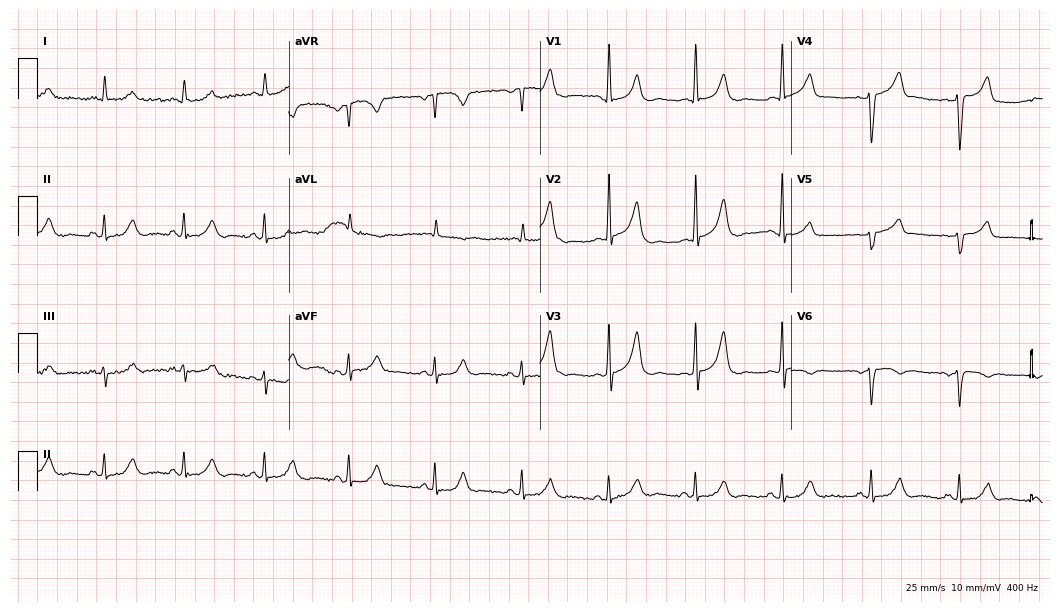
Electrocardiogram (10.2-second recording at 400 Hz), a female, 39 years old. Of the six screened findings (first-degree AV block, right bundle branch block, left bundle branch block, sinus bradycardia, atrial fibrillation, sinus tachycardia), none is recorded. Only these six findings were labelled.